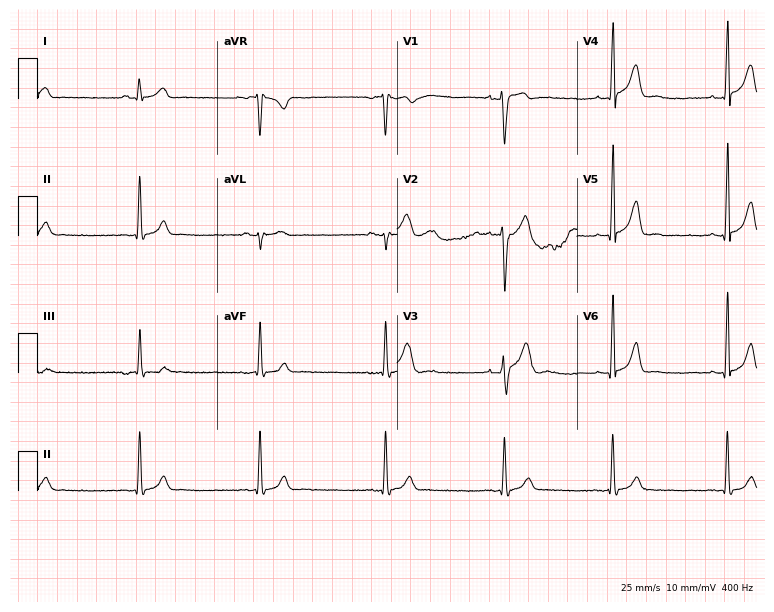
12-lead ECG from a male patient, 29 years old (7.3-second recording at 400 Hz). No first-degree AV block, right bundle branch block, left bundle branch block, sinus bradycardia, atrial fibrillation or sinus tachycardia recorded for this tracing. Other findings, if any, are not listed.